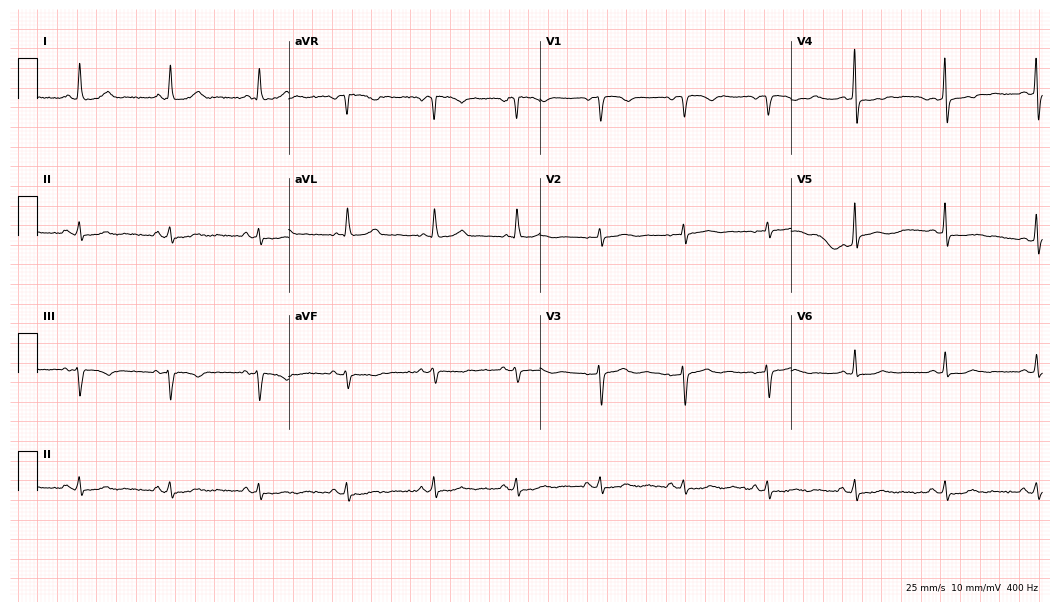
Standard 12-lead ECG recorded from a 48-year-old female (10.2-second recording at 400 Hz). None of these six findings is recorded: first-degree AV block, right bundle branch block, left bundle branch block, sinus bradycardia, atrial fibrillation, sinus tachycardia. Only these six findings were labelled.